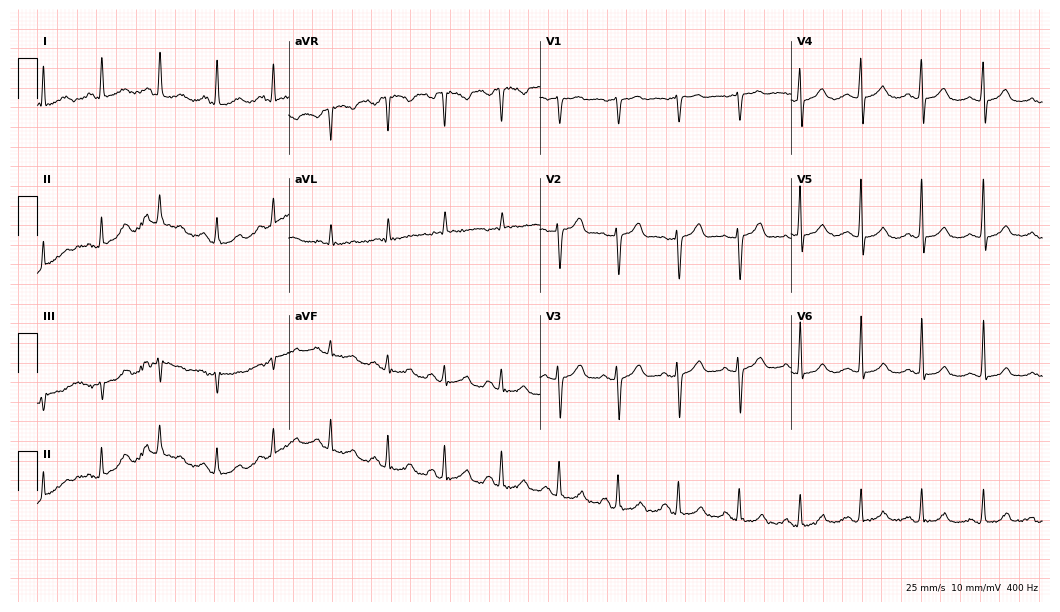
12-lead ECG from a female patient, 56 years old (10.2-second recording at 400 Hz). Recorded interpretation: within normal limits.